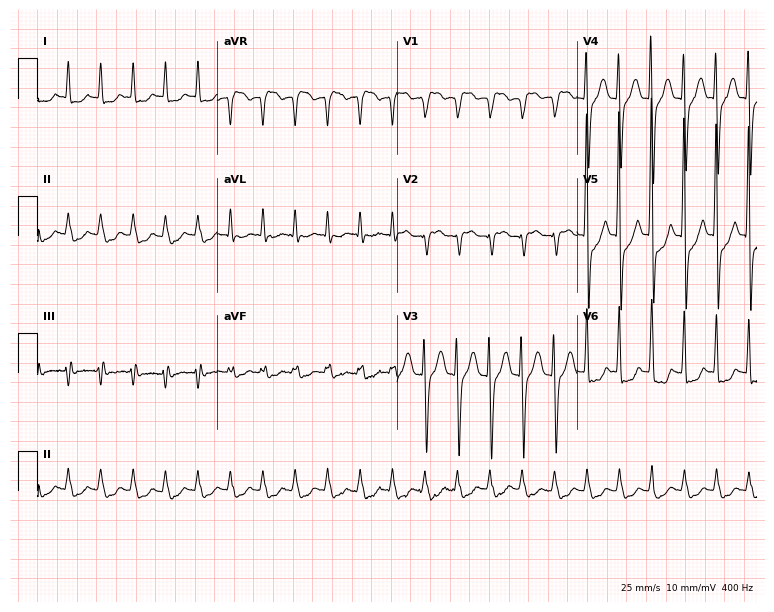
Resting 12-lead electrocardiogram (7.3-second recording at 400 Hz). Patient: a 77-year-old male. None of these six findings is recorded: first-degree AV block, right bundle branch block (RBBB), left bundle branch block (LBBB), sinus bradycardia, atrial fibrillation (AF), sinus tachycardia. Findings outside these six are not listed.